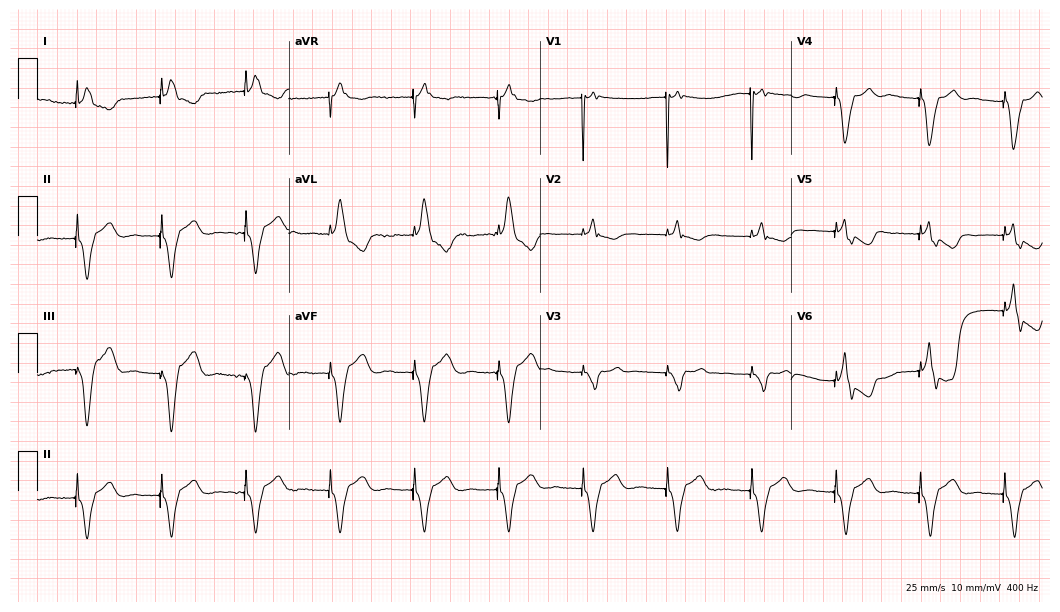
ECG — a man, 80 years old. Screened for six findings — first-degree AV block, right bundle branch block (RBBB), left bundle branch block (LBBB), sinus bradycardia, atrial fibrillation (AF), sinus tachycardia — none is recorded.